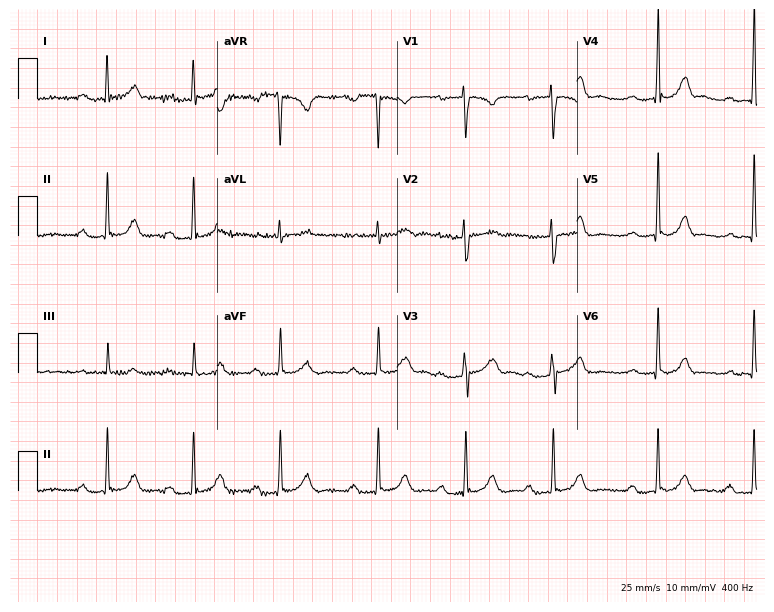
Standard 12-lead ECG recorded from a 19-year-old female (7.3-second recording at 400 Hz). The tracing shows first-degree AV block.